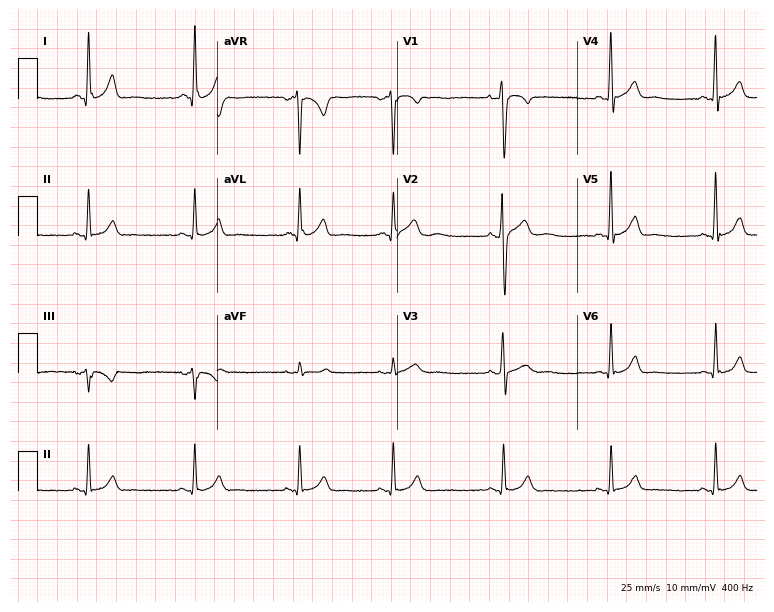
Electrocardiogram (7.3-second recording at 400 Hz), a 23-year-old male. Overall reading on record: normal ECG.